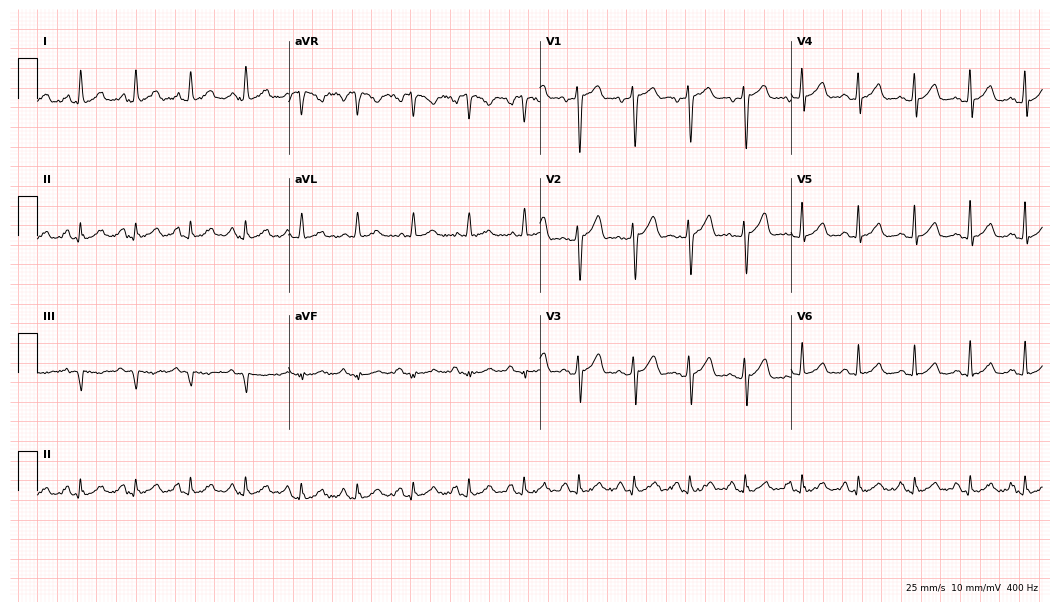
12-lead ECG from a 46-year-old male. Findings include sinus tachycardia (a sinus rate of 100 beats per minute or more).